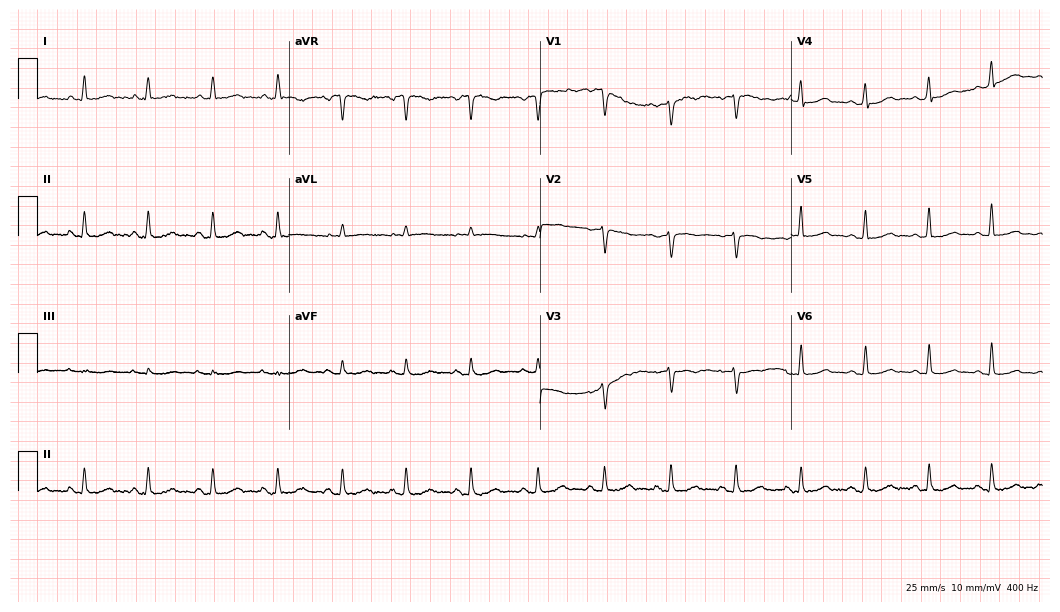
Resting 12-lead electrocardiogram. Patient: a female, 49 years old. Read as a normal ECG.